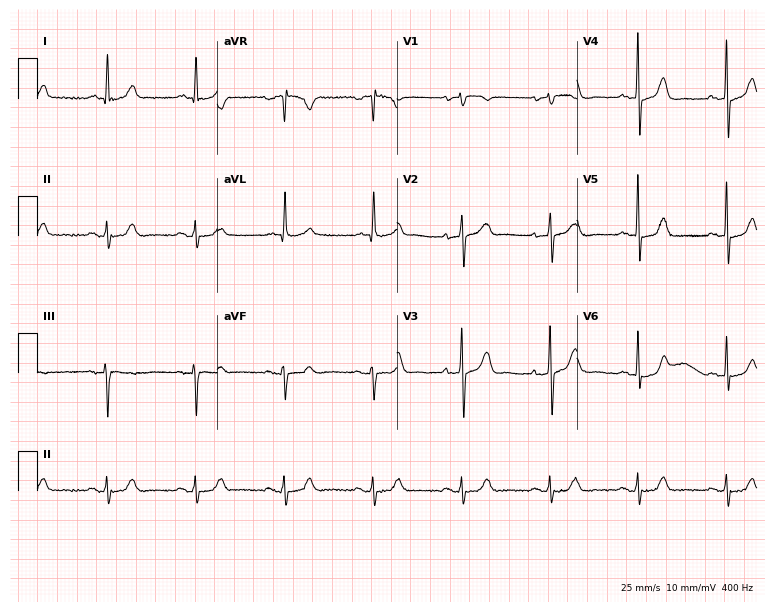
Standard 12-lead ECG recorded from a woman, 69 years old. None of these six findings is recorded: first-degree AV block, right bundle branch block, left bundle branch block, sinus bradycardia, atrial fibrillation, sinus tachycardia.